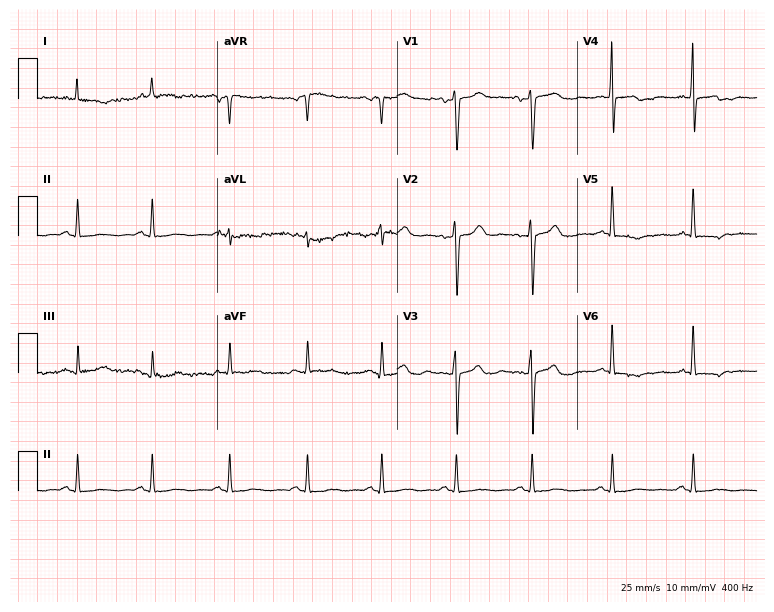
12-lead ECG (7.3-second recording at 400 Hz) from a male patient, 44 years old. Screened for six findings — first-degree AV block, right bundle branch block, left bundle branch block, sinus bradycardia, atrial fibrillation, sinus tachycardia — none is recorded. Only these six findings were labelled.